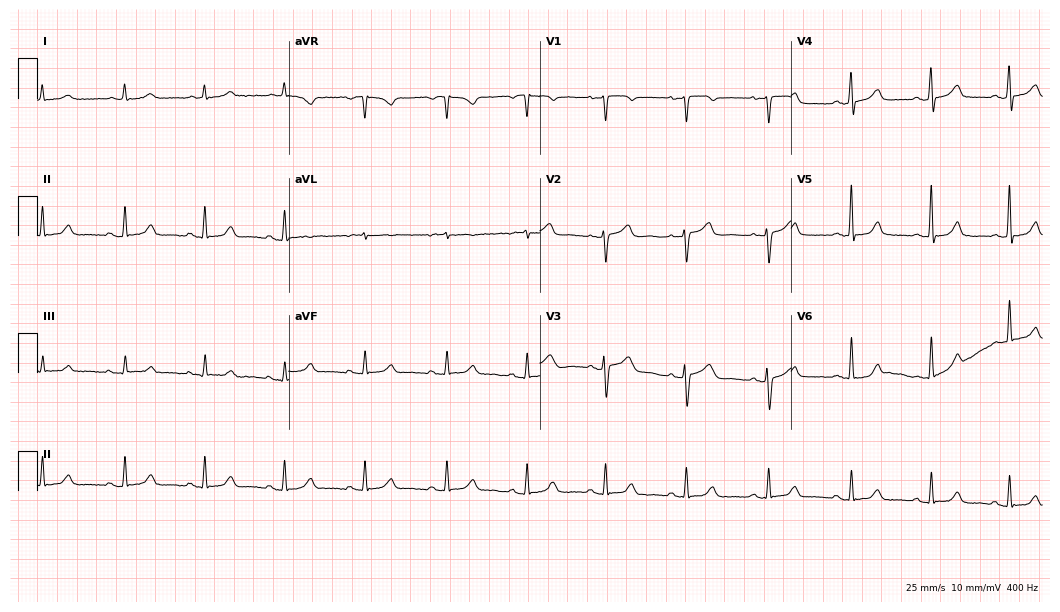
Resting 12-lead electrocardiogram. Patient: a 55-year-old woman. Read as a normal ECG.